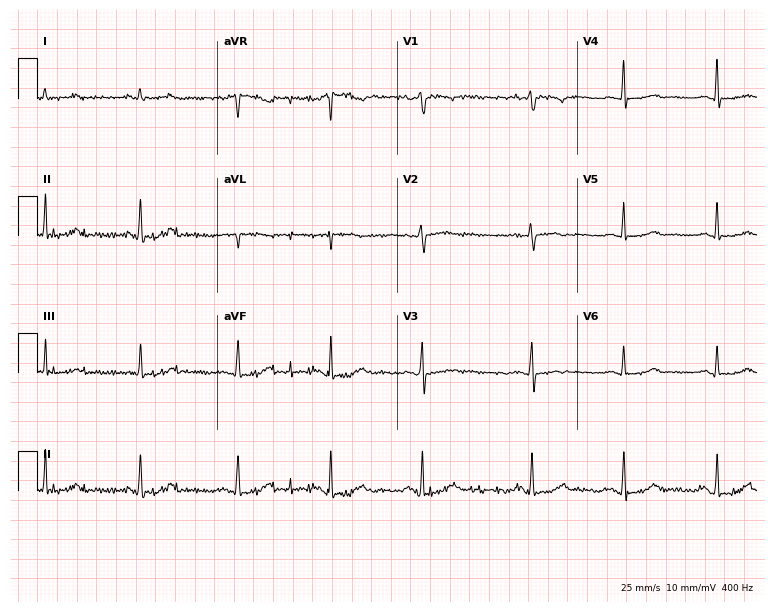
ECG (7.3-second recording at 400 Hz) — a female patient, 69 years old. Labelled as a normal ECG.